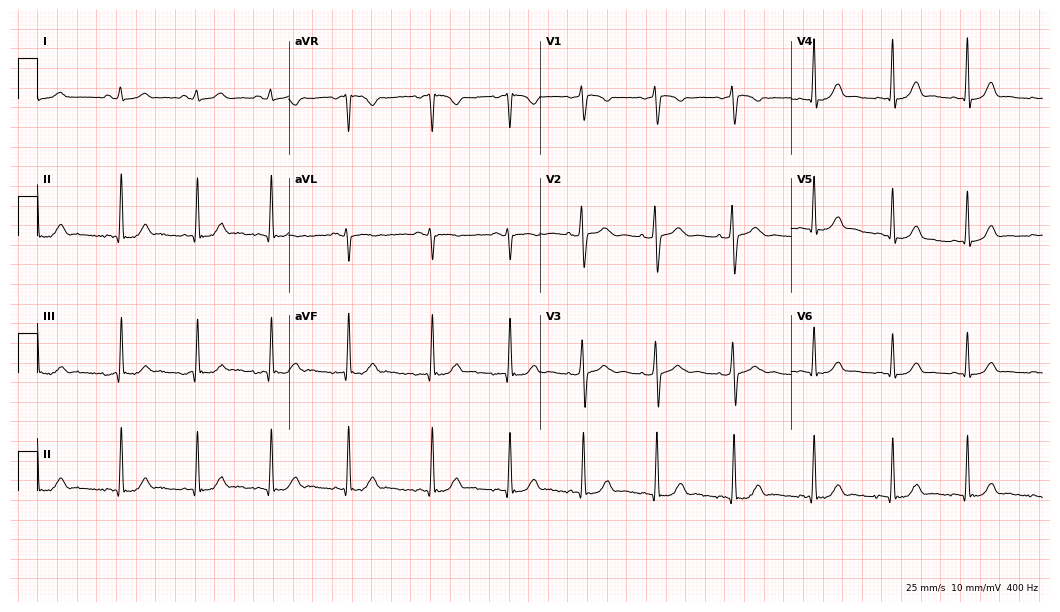
Resting 12-lead electrocardiogram (10.2-second recording at 400 Hz). Patient: a female, 24 years old. Read as a normal ECG.